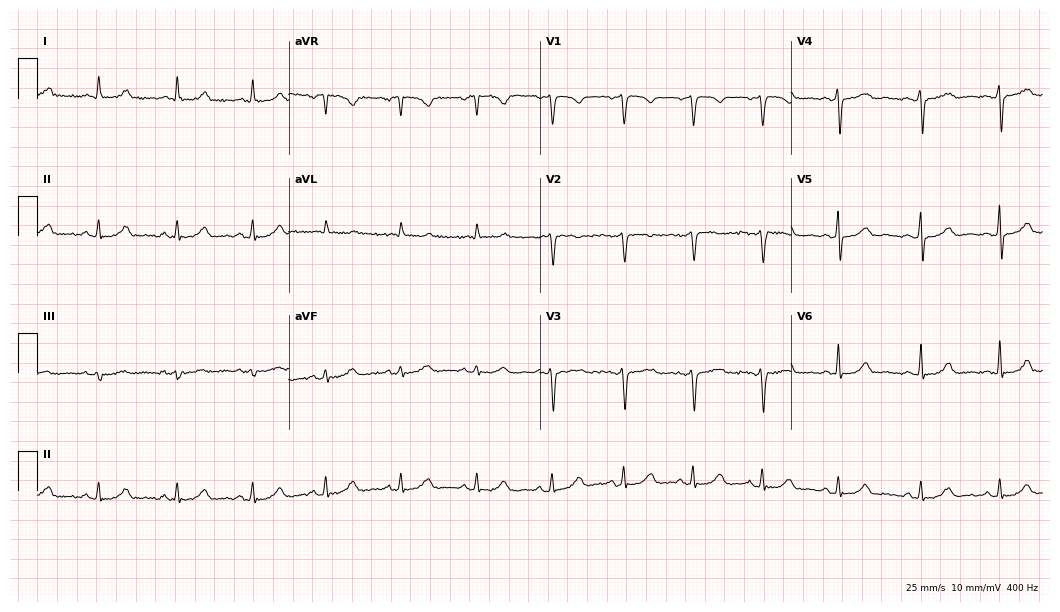
12-lead ECG from a 42-year-old female patient. Labelled as a normal ECG.